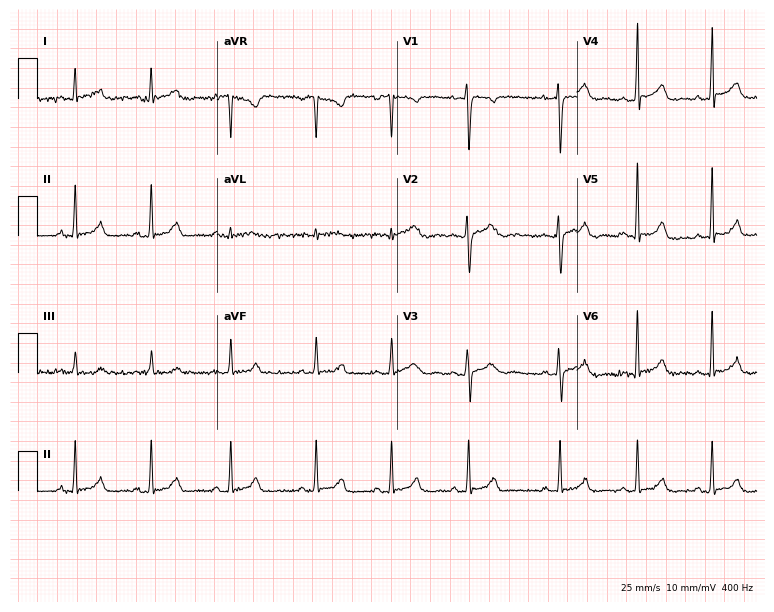
12-lead ECG from a 23-year-old female. Recorded interpretation: within normal limits.